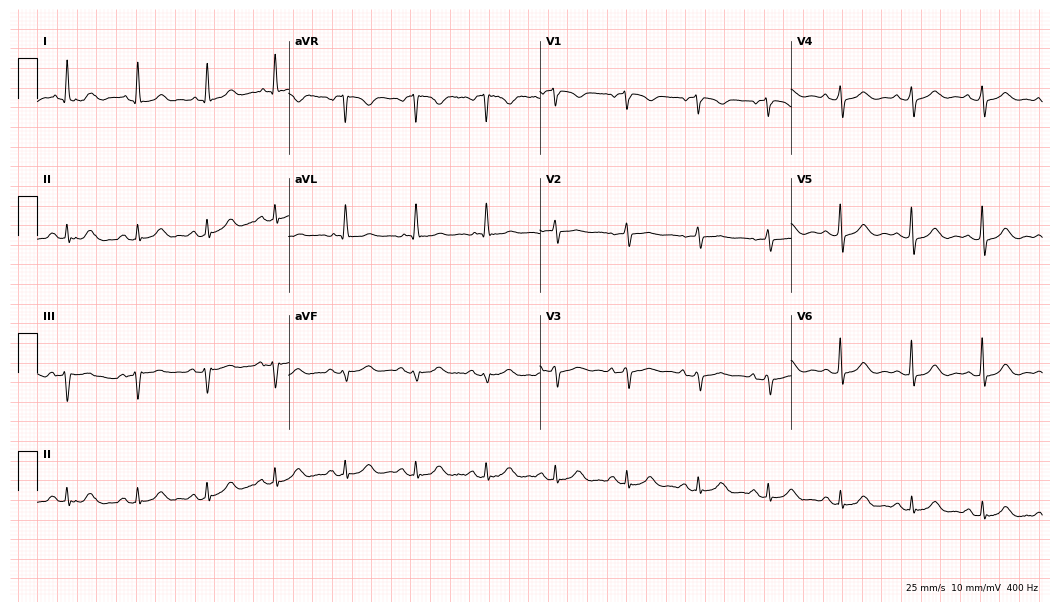
Standard 12-lead ECG recorded from a female patient, 67 years old. Read as a normal ECG.